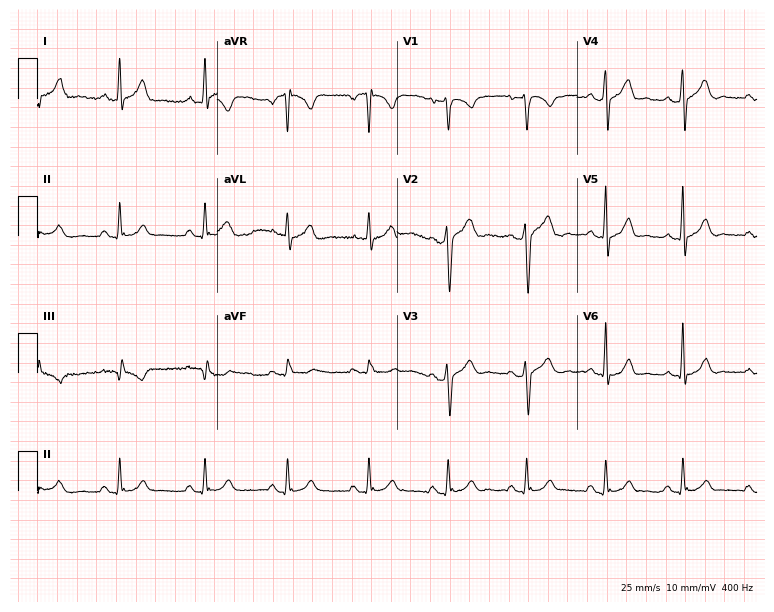
Standard 12-lead ECG recorded from a male patient, 33 years old (7.3-second recording at 400 Hz). Read as a normal ECG.